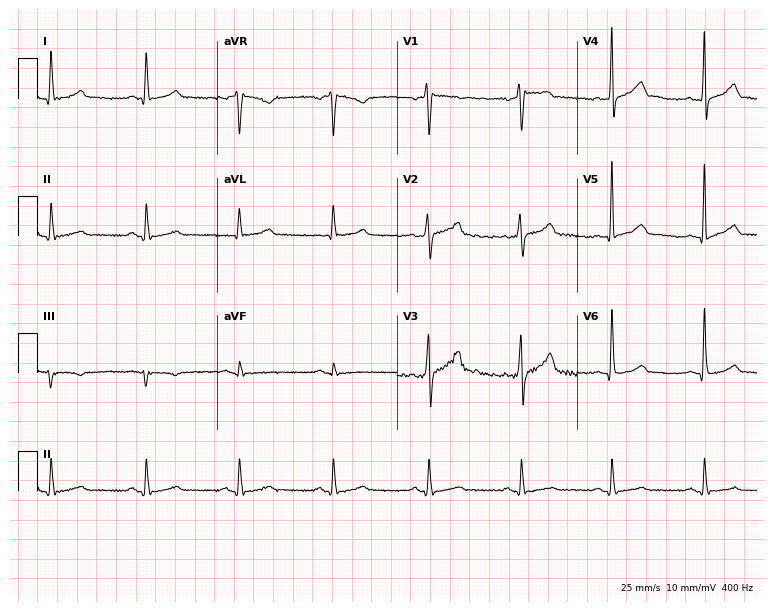
ECG (7.3-second recording at 400 Hz) — a man, 42 years old. Labelled as a normal ECG.